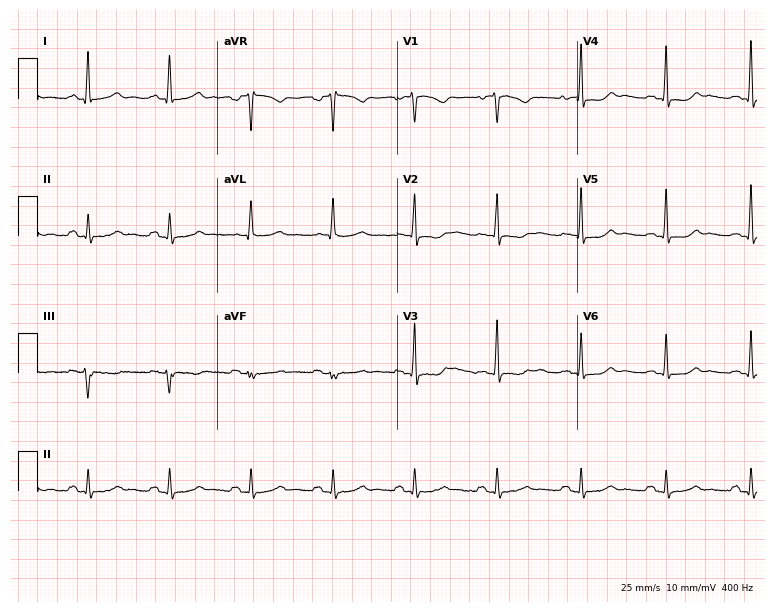
Standard 12-lead ECG recorded from a 67-year-old female patient. None of these six findings is recorded: first-degree AV block, right bundle branch block, left bundle branch block, sinus bradycardia, atrial fibrillation, sinus tachycardia. Findings outside these six are not listed.